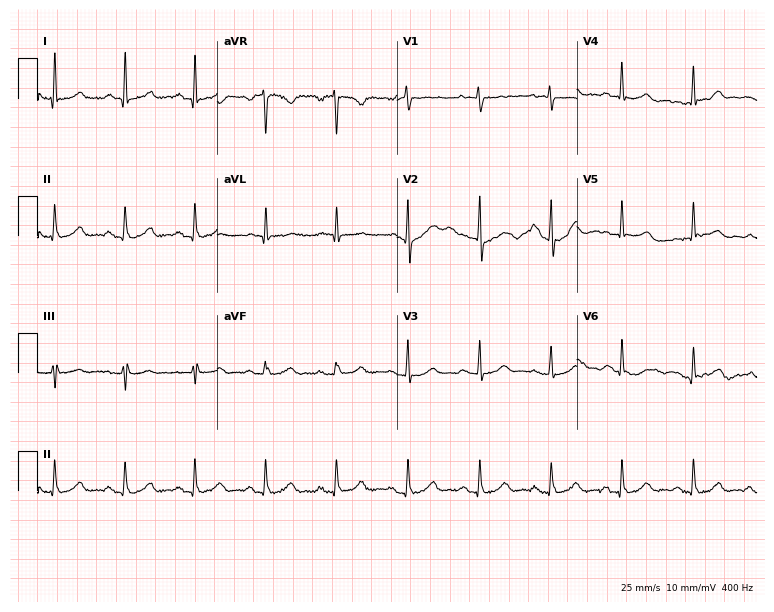
ECG — a woman, 59 years old. Labelled as a normal ECG.